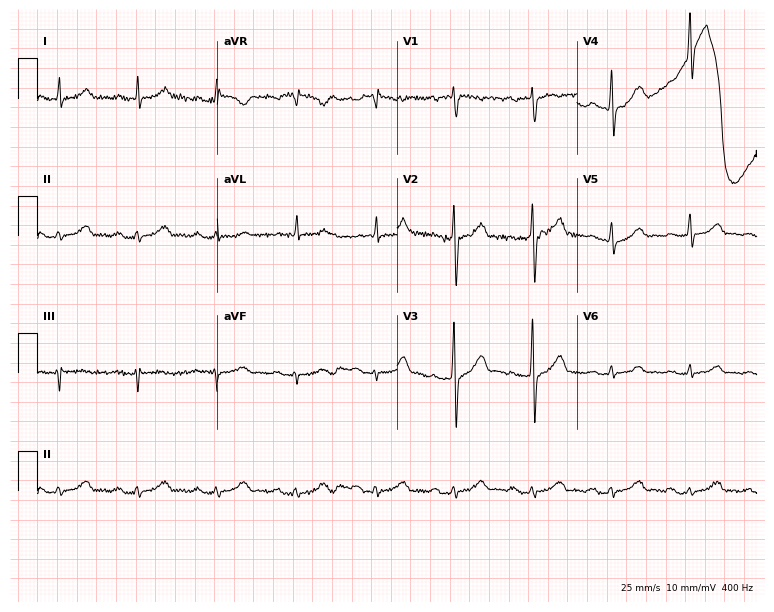
Electrocardiogram, a 71-year-old man. Of the six screened findings (first-degree AV block, right bundle branch block (RBBB), left bundle branch block (LBBB), sinus bradycardia, atrial fibrillation (AF), sinus tachycardia), none is recorded.